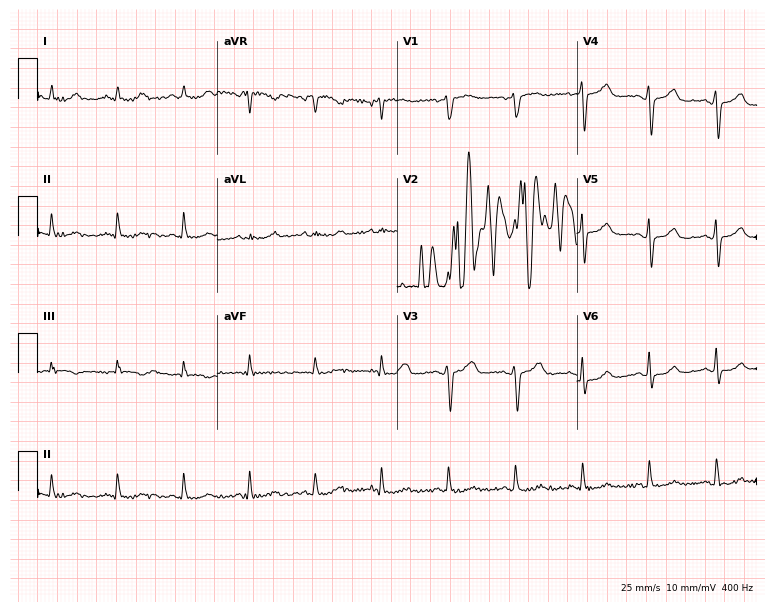
Resting 12-lead electrocardiogram (7.3-second recording at 400 Hz). Patient: a 60-year-old female. None of these six findings is recorded: first-degree AV block, right bundle branch block, left bundle branch block, sinus bradycardia, atrial fibrillation, sinus tachycardia.